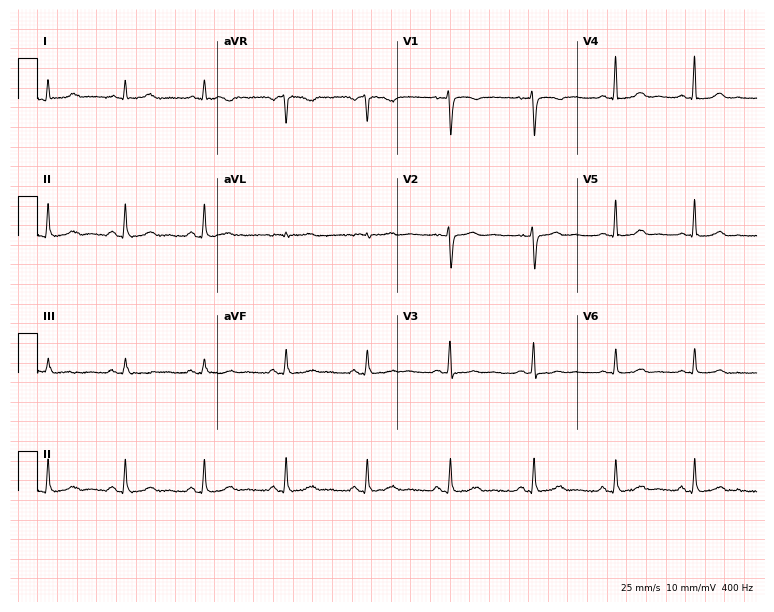
Standard 12-lead ECG recorded from a 47-year-old female patient. None of these six findings is recorded: first-degree AV block, right bundle branch block, left bundle branch block, sinus bradycardia, atrial fibrillation, sinus tachycardia. Findings outside these six are not listed.